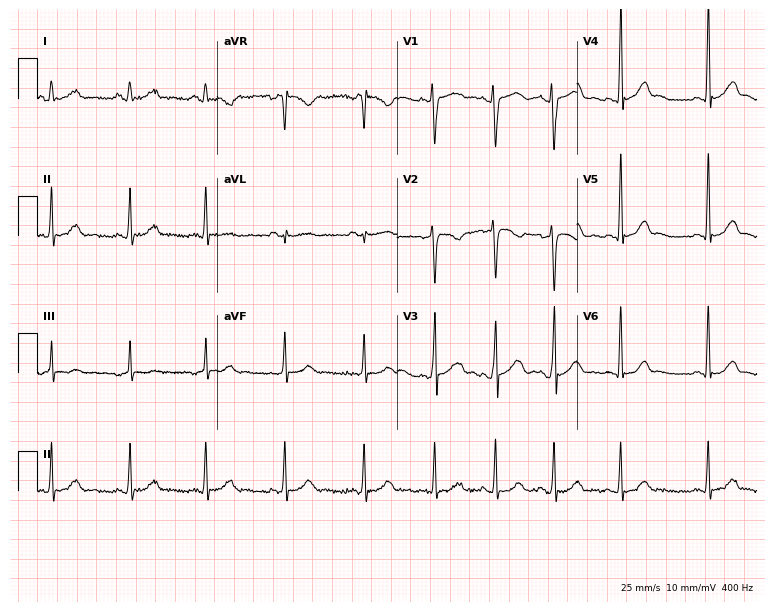
12-lead ECG from a female patient, 22 years old (7.3-second recording at 400 Hz). No first-degree AV block, right bundle branch block, left bundle branch block, sinus bradycardia, atrial fibrillation or sinus tachycardia recorded for this tracing.